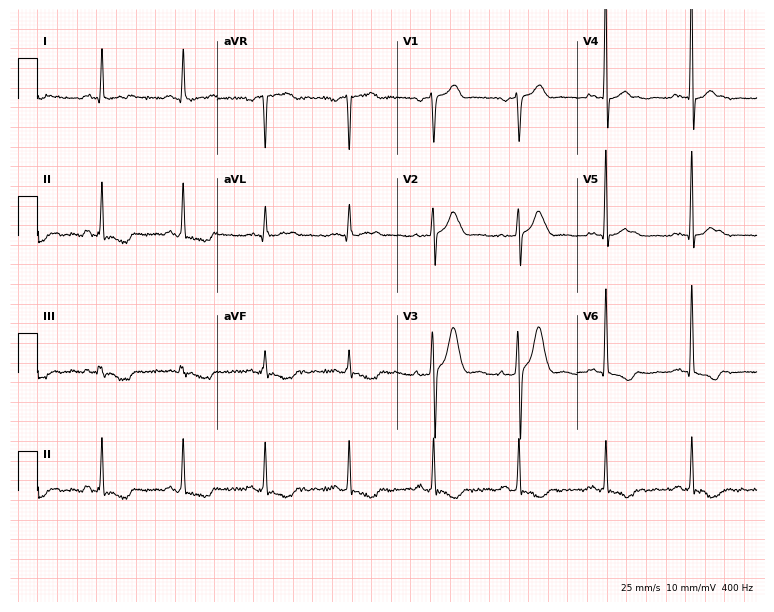
12-lead ECG from a man, 62 years old. No first-degree AV block, right bundle branch block (RBBB), left bundle branch block (LBBB), sinus bradycardia, atrial fibrillation (AF) or sinus tachycardia recorded for this tracing.